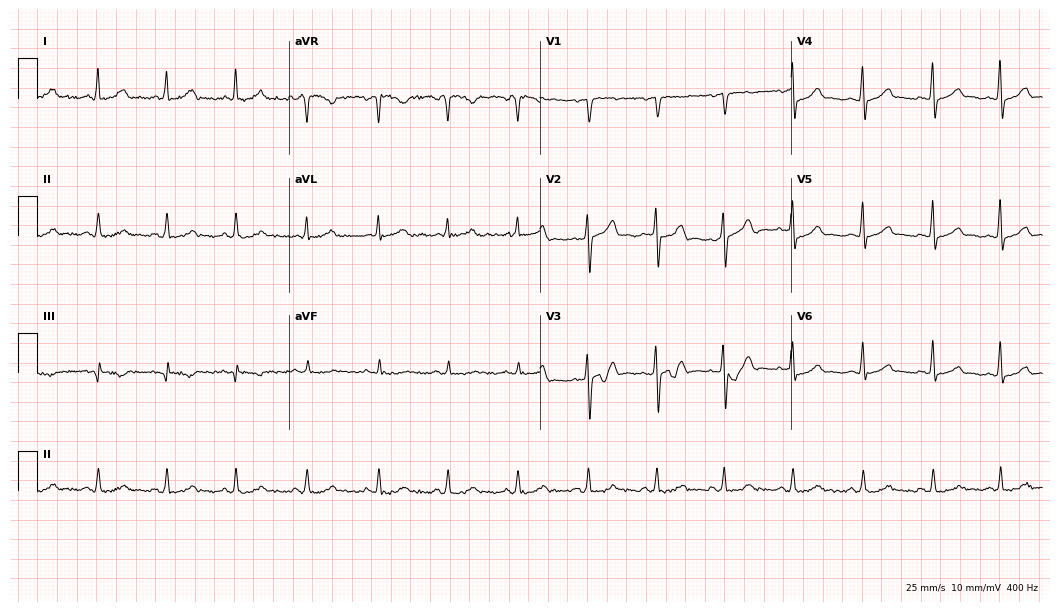
12-lead ECG from a 37-year-old female (10.2-second recording at 400 Hz). Recorded interpretation: within normal limits.